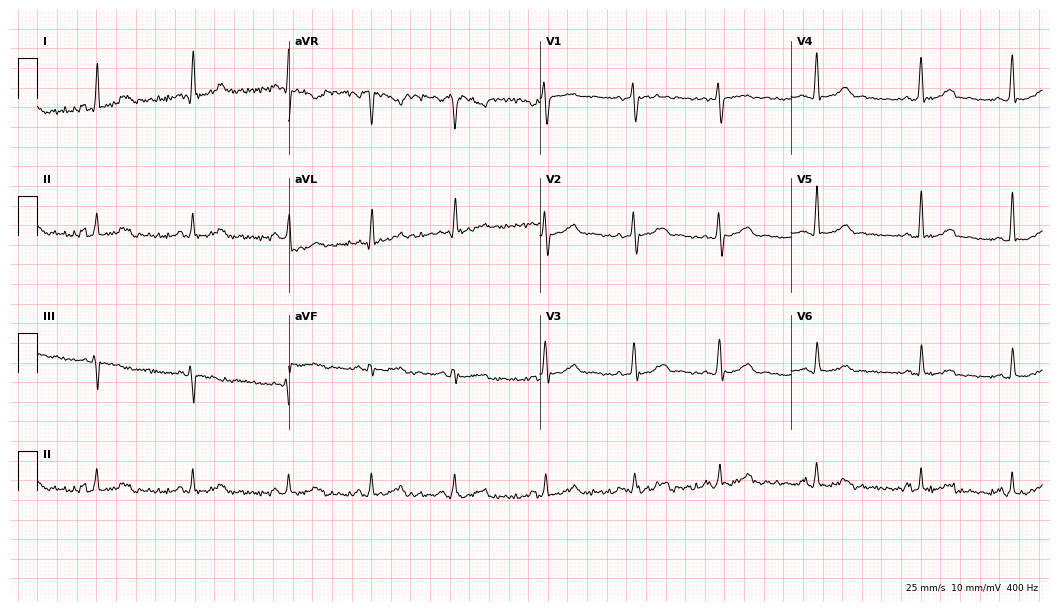
Electrocardiogram, a 34-year-old female patient. Overall reading on record: normal ECG.